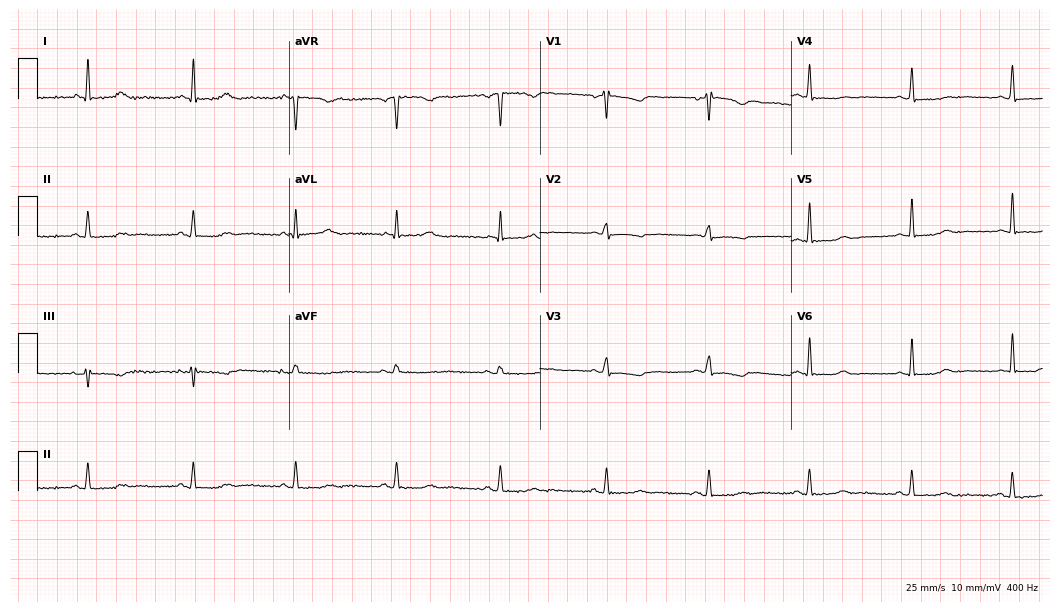
12-lead ECG from a 50-year-old female (10.2-second recording at 400 Hz). No first-degree AV block, right bundle branch block, left bundle branch block, sinus bradycardia, atrial fibrillation or sinus tachycardia recorded for this tracing. Findings outside these six are not listed.